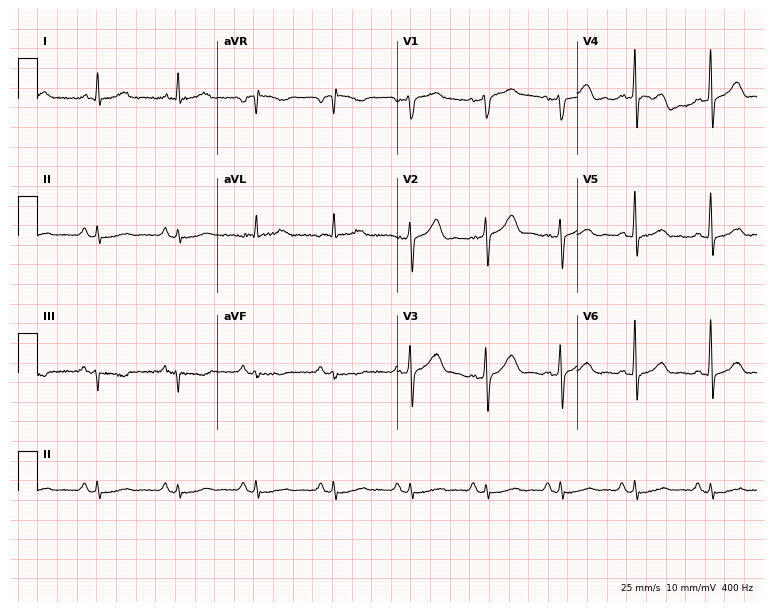
Electrocardiogram, a 64-year-old male patient. Overall reading on record: normal ECG.